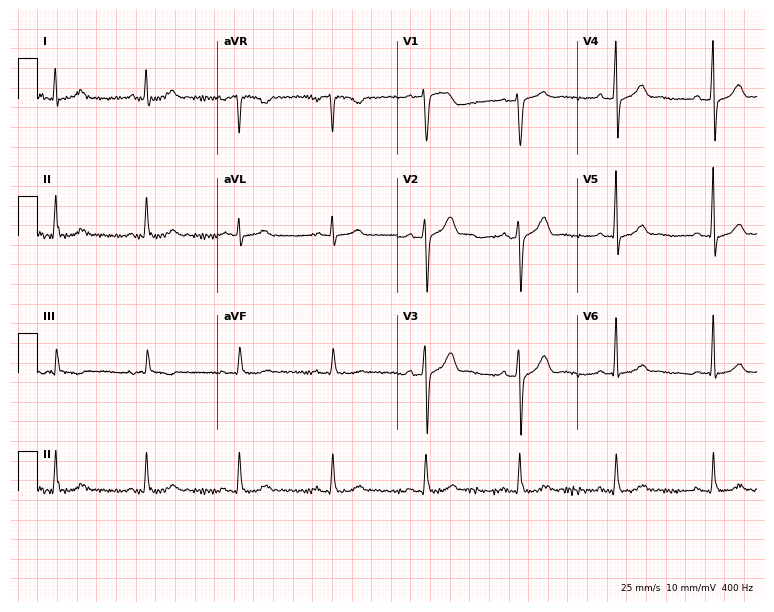
Resting 12-lead electrocardiogram. Patient: a 38-year-old man. Read as a normal ECG.